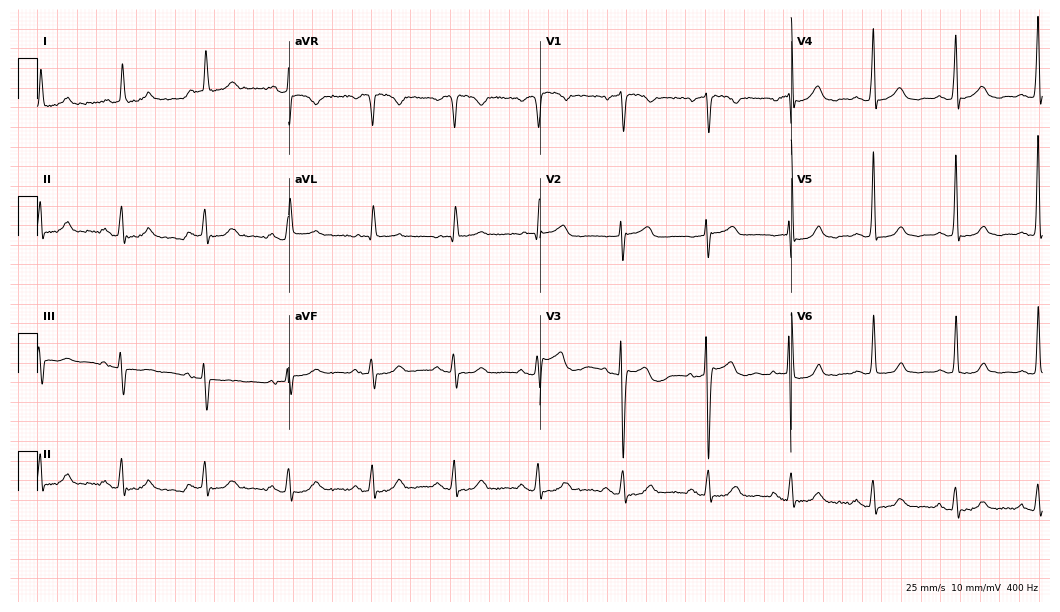
Electrocardiogram, a female, 79 years old. Overall reading on record: normal ECG.